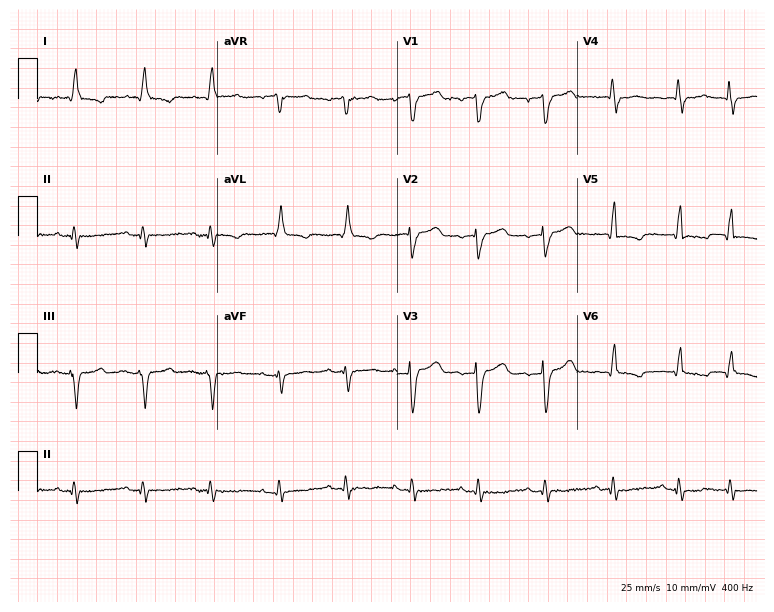
Standard 12-lead ECG recorded from an 82-year-old male patient. None of these six findings is recorded: first-degree AV block, right bundle branch block, left bundle branch block, sinus bradycardia, atrial fibrillation, sinus tachycardia.